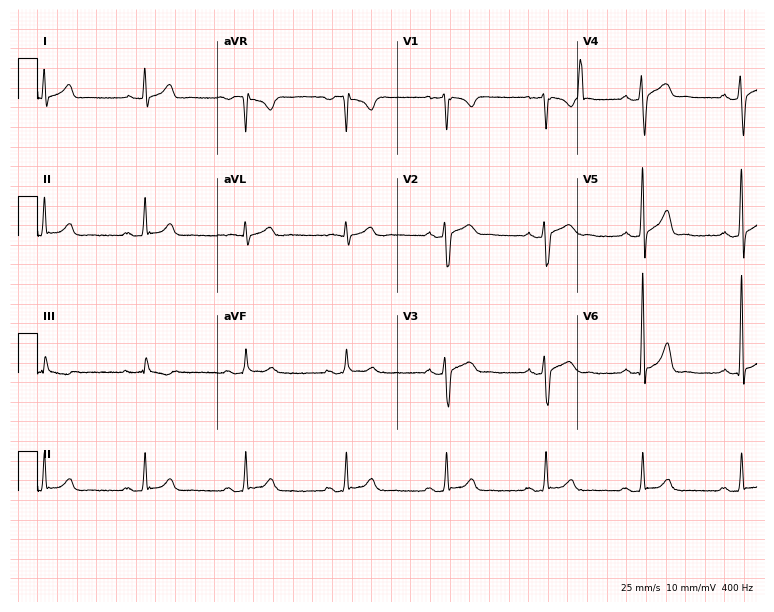
ECG (7.3-second recording at 400 Hz) — a 39-year-old male. Labelled as a normal ECG.